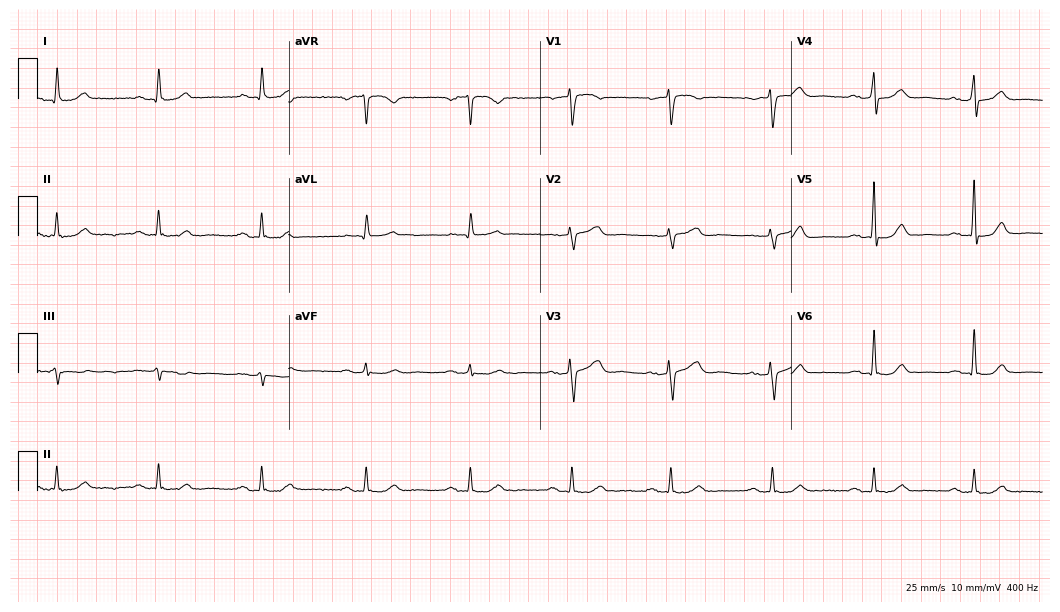
ECG — a female, 62 years old. Screened for six findings — first-degree AV block, right bundle branch block (RBBB), left bundle branch block (LBBB), sinus bradycardia, atrial fibrillation (AF), sinus tachycardia — none is recorded.